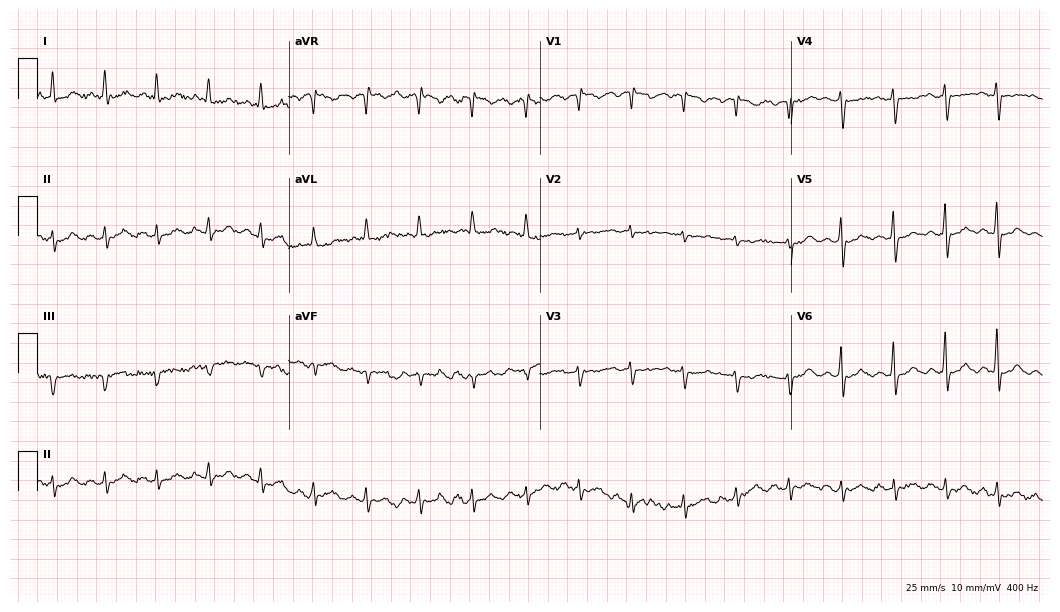
12-lead ECG from a 68-year-old female patient. Findings include sinus tachycardia (a sinus rate of 100 beats per minute or more).